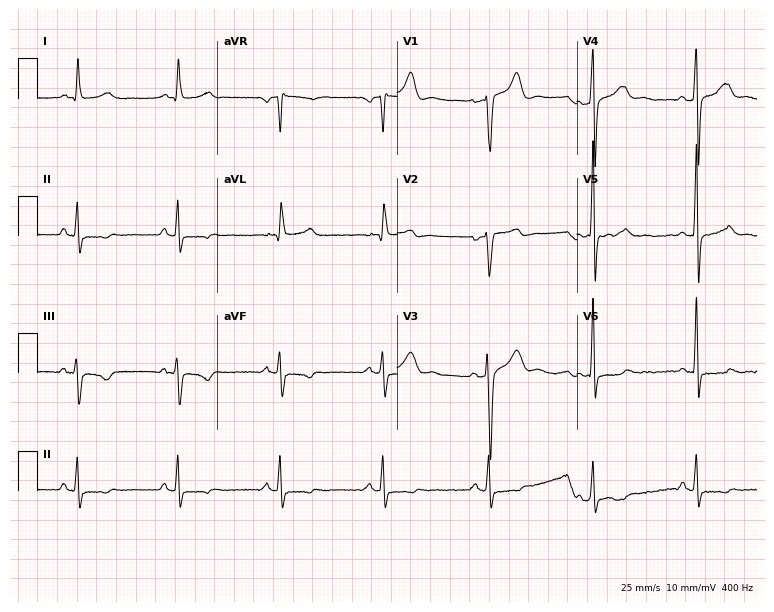
Electrocardiogram (7.3-second recording at 400 Hz), a male patient, 54 years old. Of the six screened findings (first-degree AV block, right bundle branch block, left bundle branch block, sinus bradycardia, atrial fibrillation, sinus tachycardia), none is recorded. Other findings, if any, are not listed.